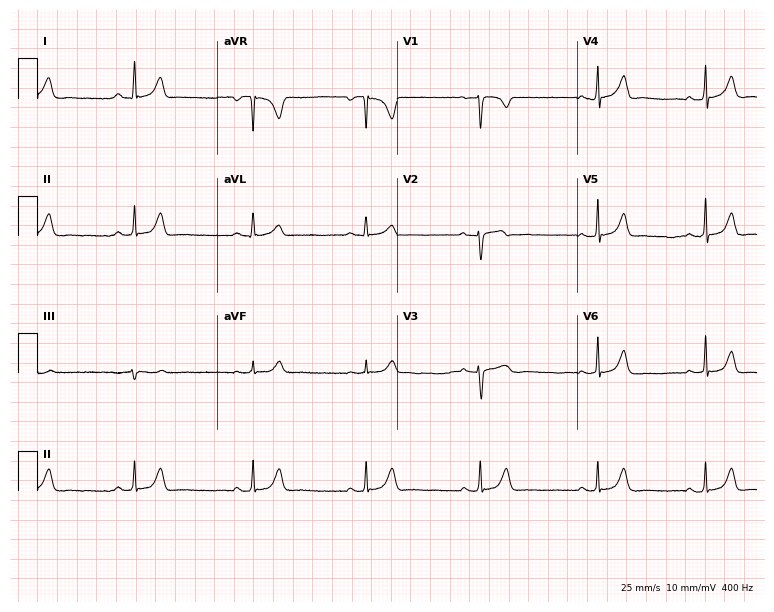
Resting 12-lead electrocardiogram. Patient: a woman, 39 years old. Read as a normal ECG.